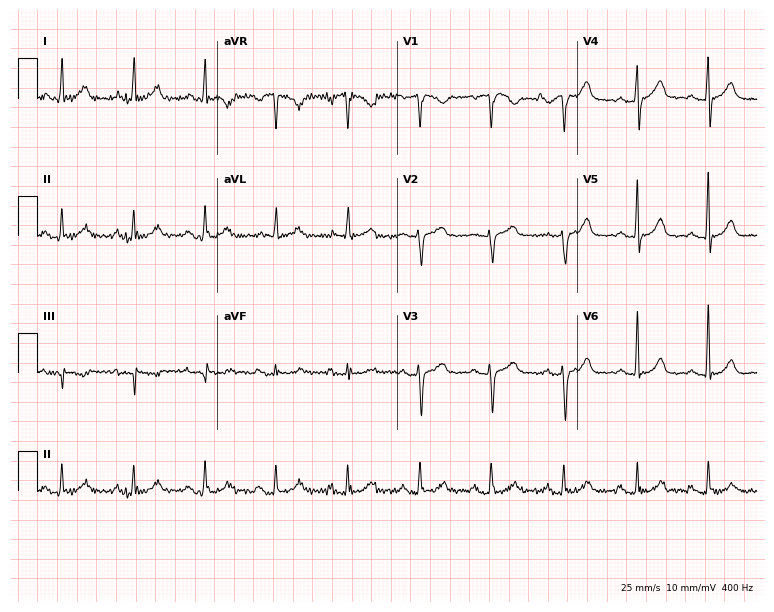
Electrocardiogram, a woman, 82 years old. Of the six screened findings (first-degree AV block, right bundle branch block, left bundle branch block, sinus bradycardia, atrial fibrillation, sinus tachycardia), none is recorded.